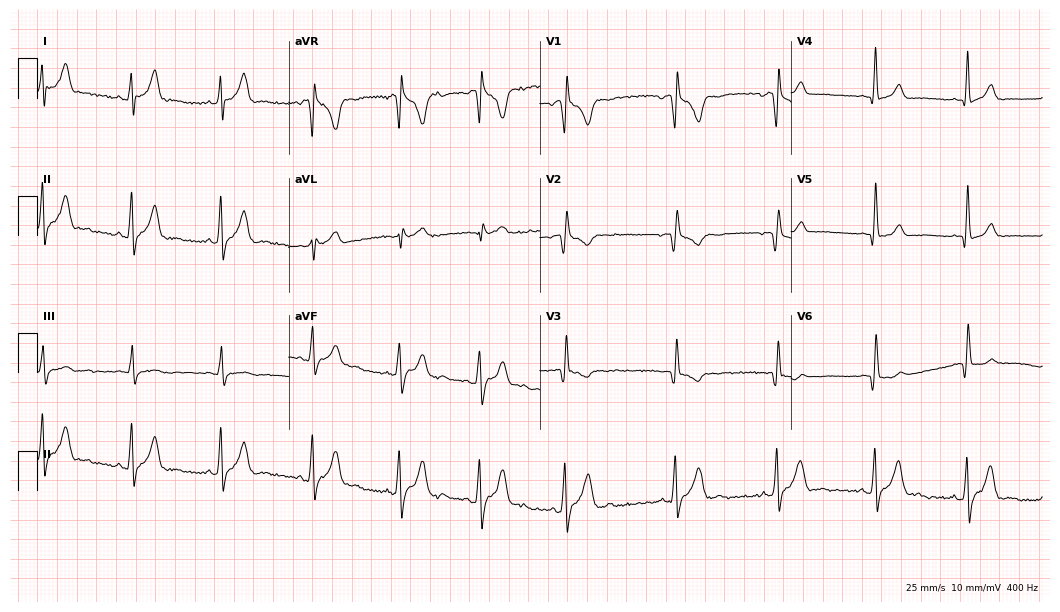
Electrocardiogram (10.2-second recording at 400 Hz), a male patient, 37 years old. Of the six screened findings (first-degree AV block, right bundle branch block, left bundle branch block, sinus bradycardia, atrial fibrillation, sinus tachycardia), none is recorded. Only these six findings were labelled.